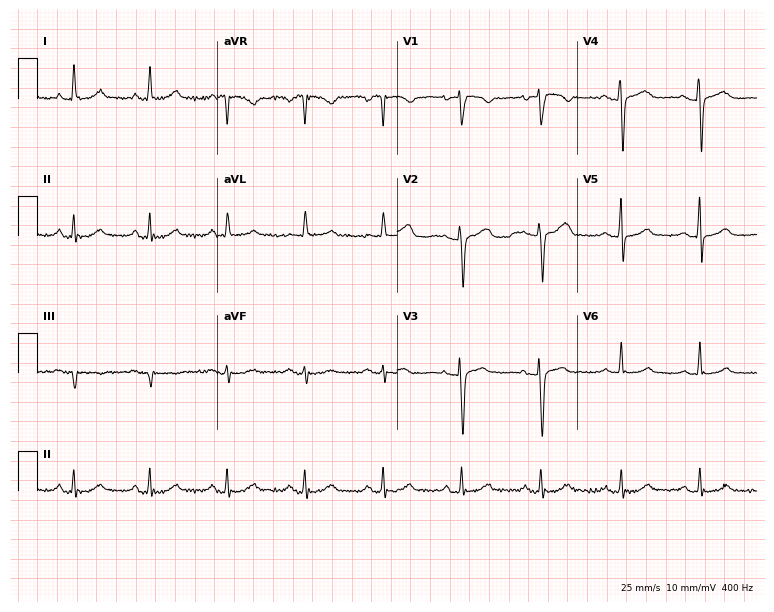
Electrocardiogram (7.3-second recording at 400 Hz), a female patient, 67 years old. Overall reading on record: normal ECG.